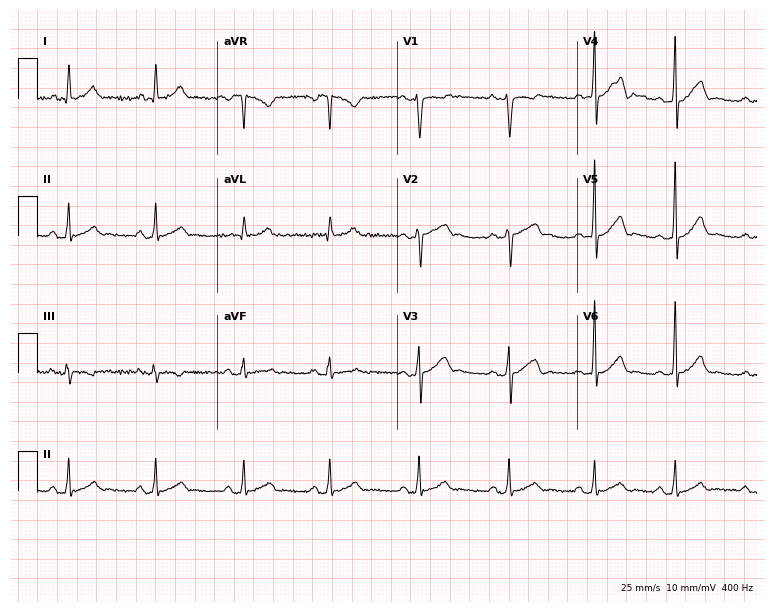
Resting 12-lead electrocardiogram. Patient: a male, 32 years old. Read as a normal ECG.